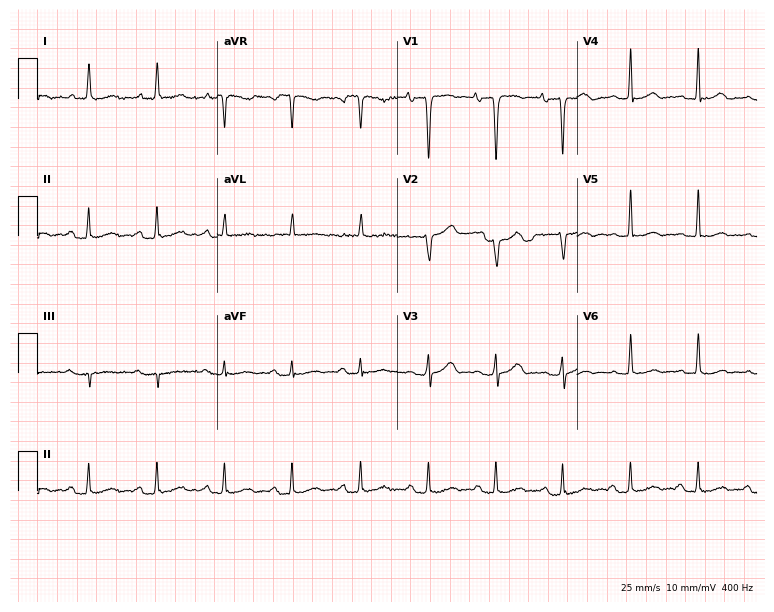
Electrocardiogram, a male, 74 years old. Of the six screened findings (first-degree AV block, right bundle branch block, left bundle branch block, sinus bradycardia, atrial fibrillation, sinus tachycardia), none is recorded. Findings outside these six are not listed.